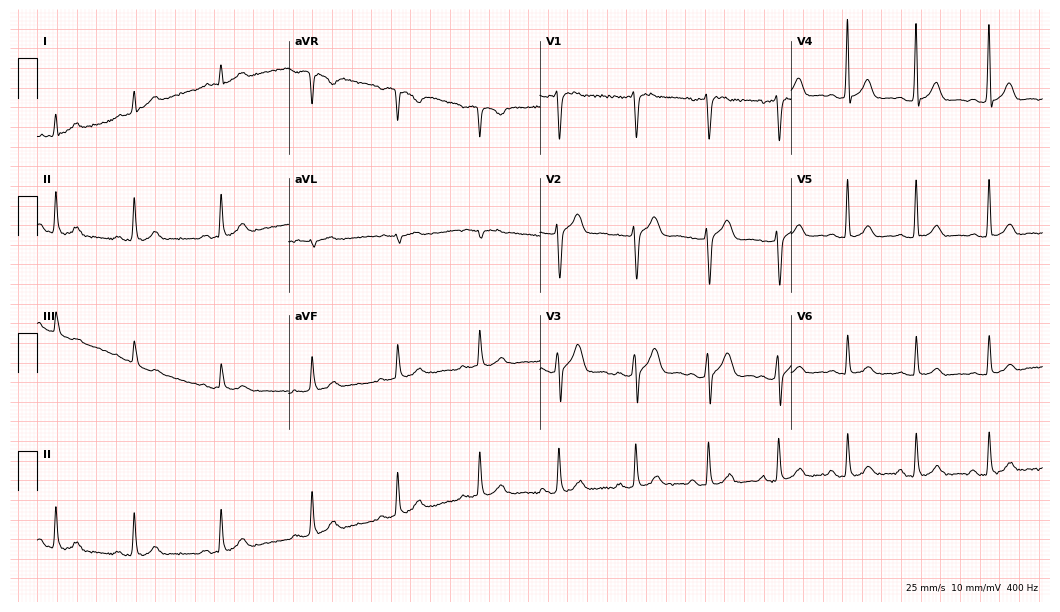
Resting 12-lead electrocardiogram. Patient: a 39-year-old male. Read as a normal ECG.